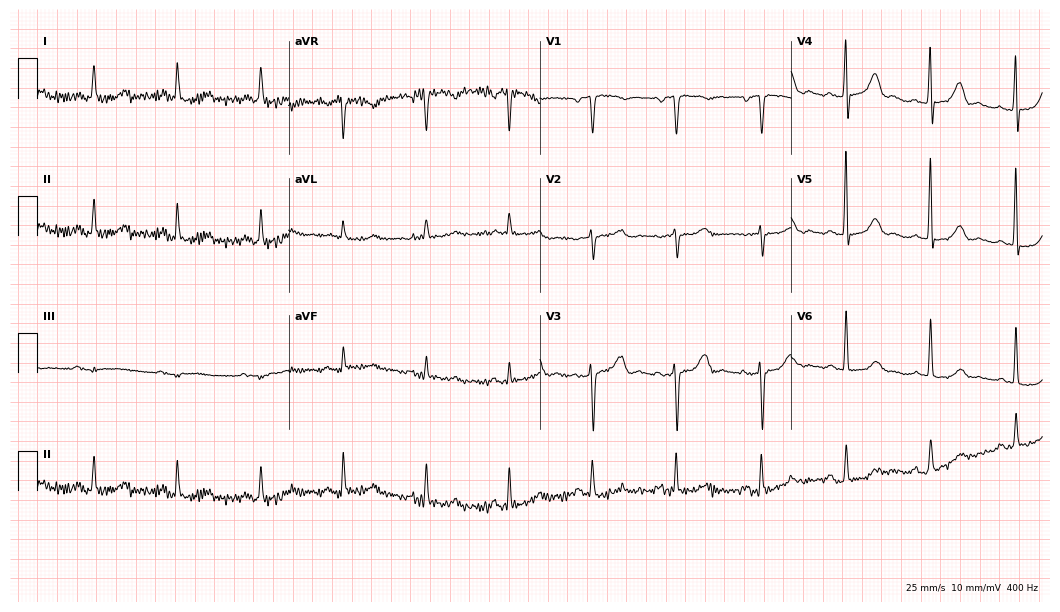
Standard 12-lead ECG recorded from a male patient, 81 years old. Read as a normal ECG.